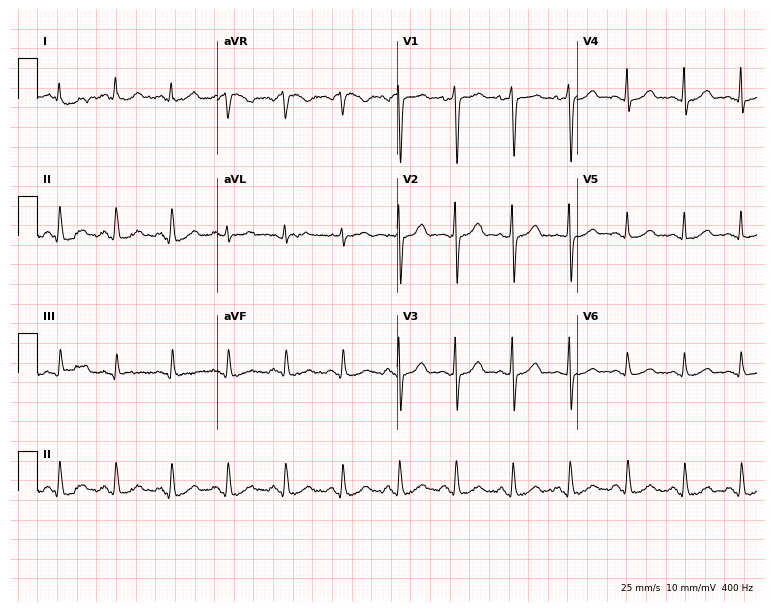
Electrocardiogram, a woman, 33 years old. Interpretation includes sinus tachycardia (a sinus rate of 100 beats per minute or more).